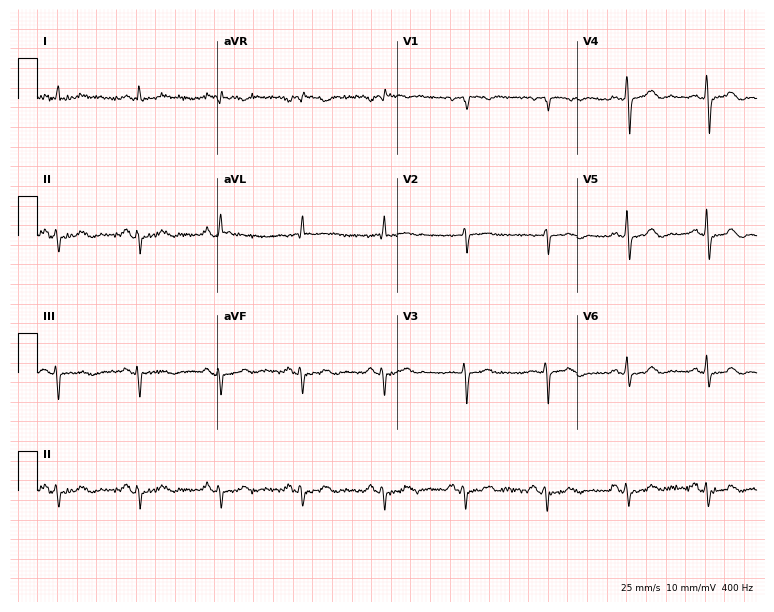
Standard 12-lead ECG recorded from a male patient, 59 years old. None of these six findings is recorded: first-degree AV block, right bundle branch block, left bundle branch block, sinus bradycardia, atrial fibrillation, sinus tachycardia. Other findings, if any, are not listed.